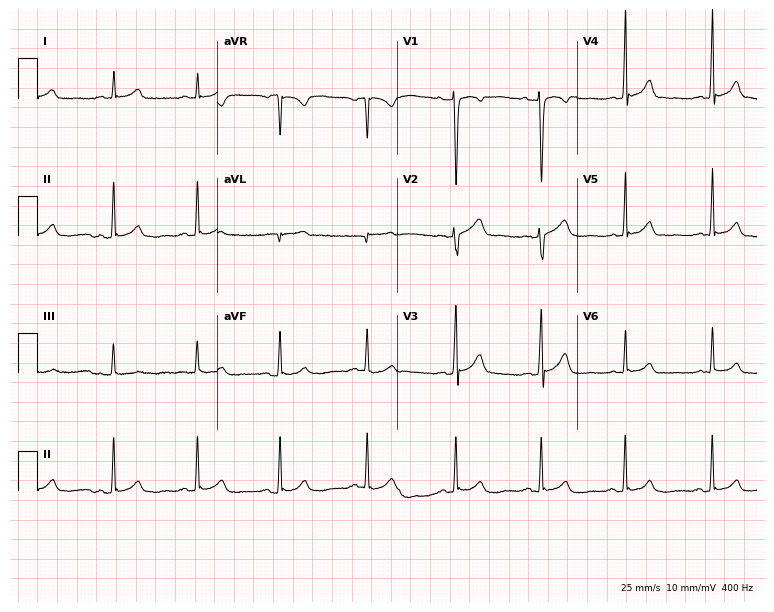
12-lead ECG from a woman, 36 years old. No first-degree AV block, right bundle branch block, left bundle branch block, sinus bradycardia, atrial fibrillation or sinus tachycardia recorded for this tracing. Other findings, if any, are not listed.